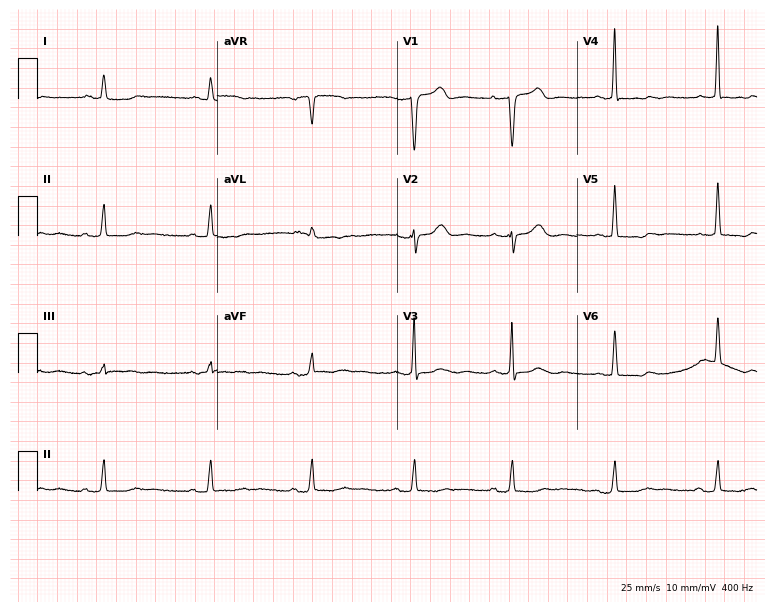
ECG (7.3-second recording at 400 Hz) — a female, 52 years old. Screened for six findings — first-degree AV block, right bundle branch block (RBBB), left bundle branch block (LBBB), sinus bradycardia, atrial fibrillation (AF), sinus tachycardia — none is recorded. Only these six findings were labelled.